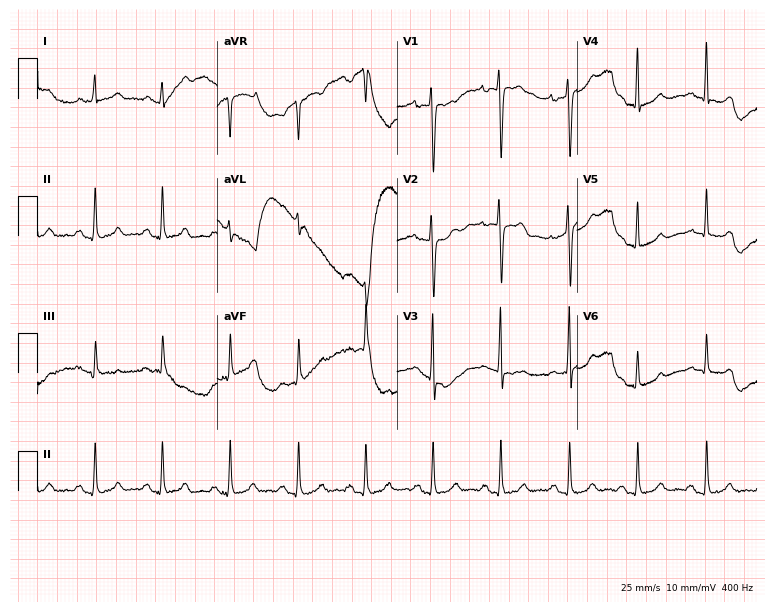
Standard 12-lead ECG recorded from a 42-year-old female (7.3-second recording at 400 Hz). None of these six findings is recorded: first-degree AV block, right bundle branch block (RBBB), left bundle branch block (LBBB), sinus bradycardia, atrial fibrillation (AF), sinus tachycardia.